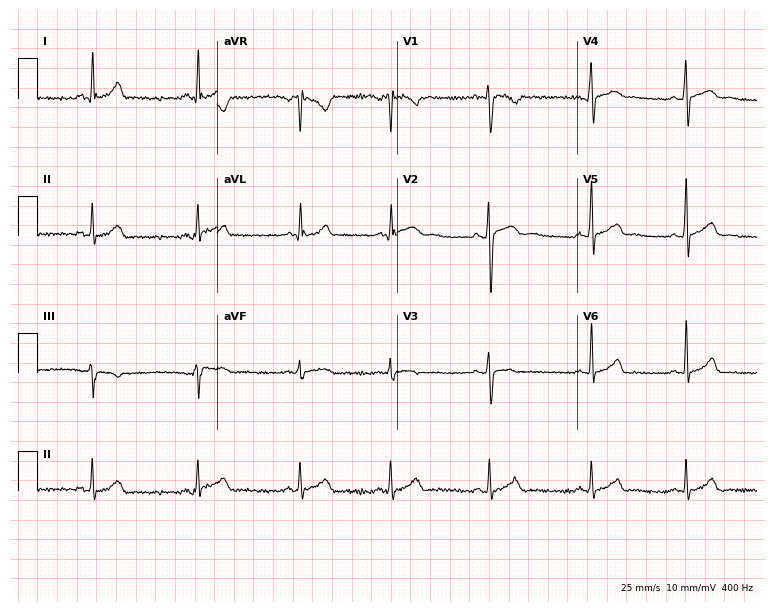
ECG — an 18-year-old male patient. Labelled as a normal ECG.